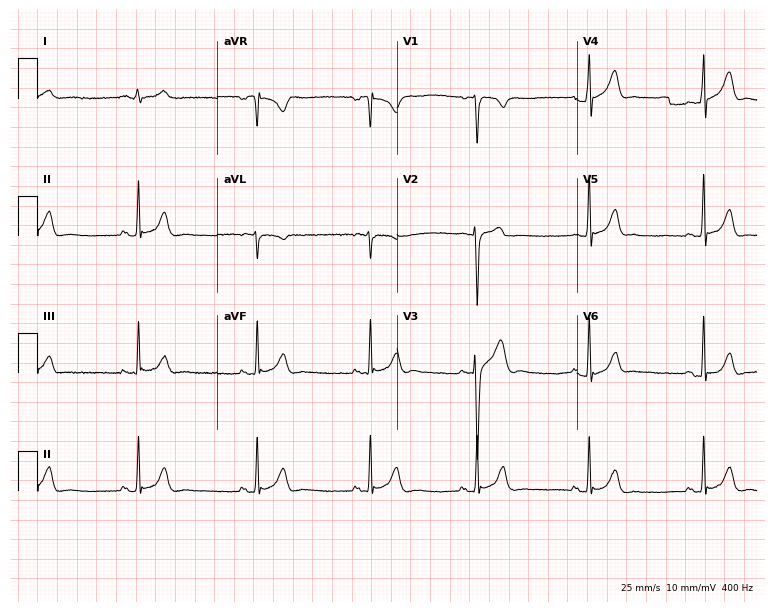
12-lead ECG from a 21-year-old male patient. Labelled as a normal ECG.